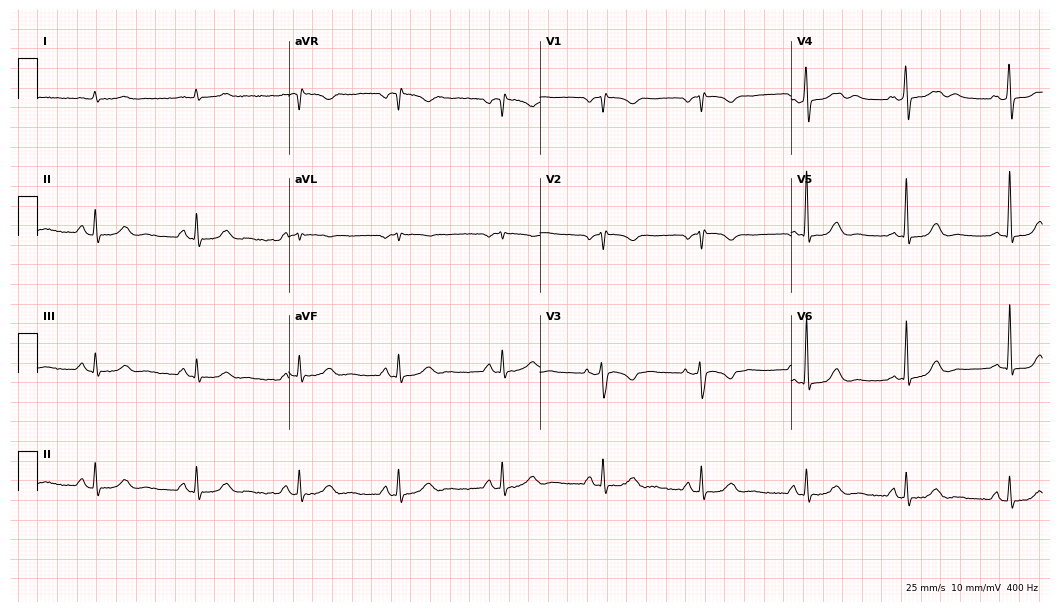
Resting 12-lead electrocardiogram (10.2-second recording at 400 Hz). Patient: a female, 45 years old. None of these six findings is recorded: first-degree AV block, right bundle branch block (RBBB), left bundle branch block (LBBB), sinus bradycardia, atrial fibrillation (AF), sinus tachycardia. Only these six findings were labelled.